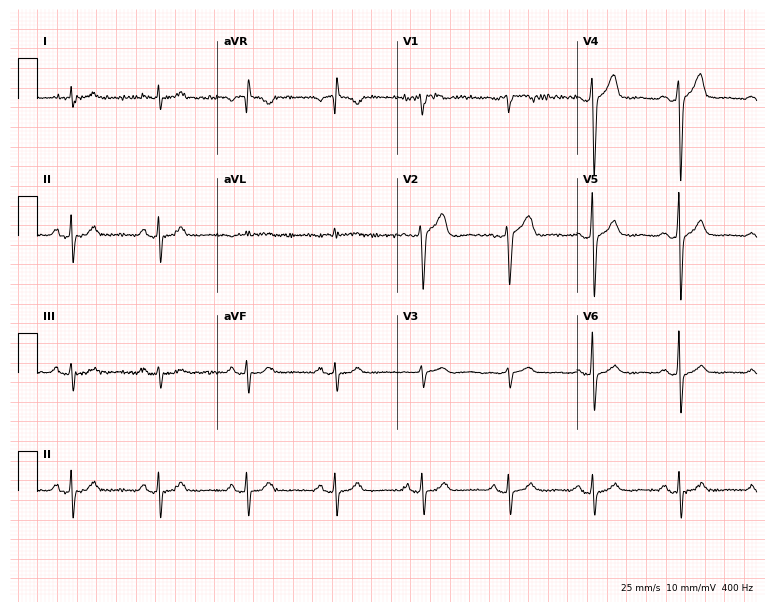
Resting 12-lead electrocardiogram. Patient: a 55-year-old male. None of these six findings is recorded: first-degree AV block, right bundle branch block, left bundle branch block, sinus bradycardia, atrial fibrillation, sinus tachycardia. Only these six findings were labelled.